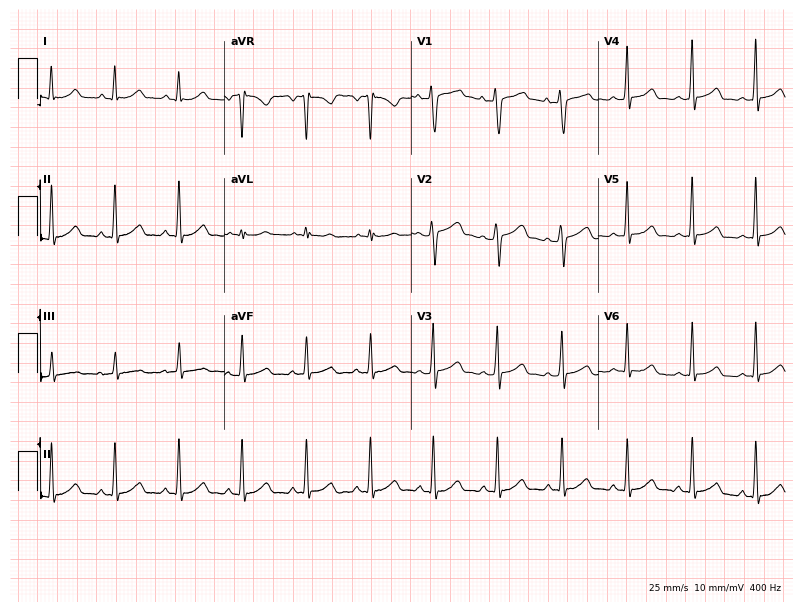
Electrocardiogram (7.6-second recording at 400 Hz), a female, 22 years old. Overall reading on record: normal ECG.